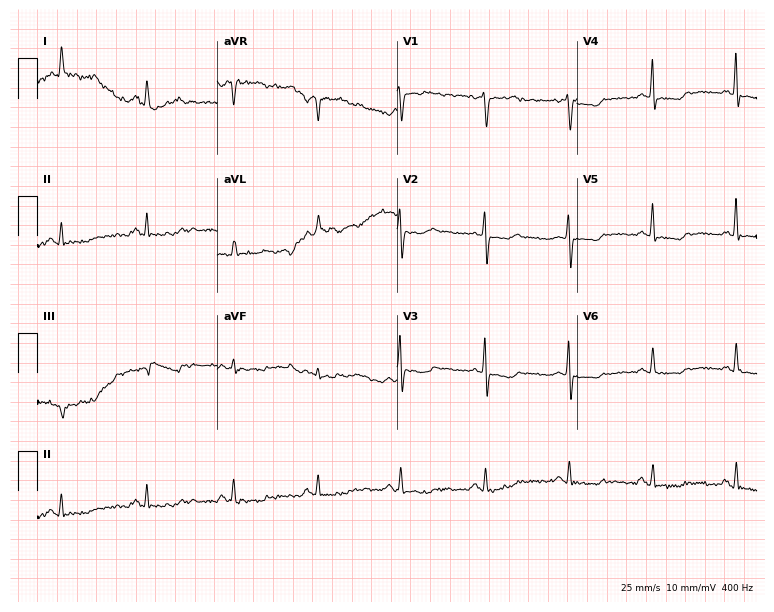
Resting 12-lead electrocardiogram. Patient: a female, 52 years old. None of these six findings is recorded: first-degree AV block, right bundle branch block (RBBB), left bundle branch block (LBBB), sinus bradycardia, atrial fibrillation (AF), sinus tachycardia. Only these six findings were labelled.